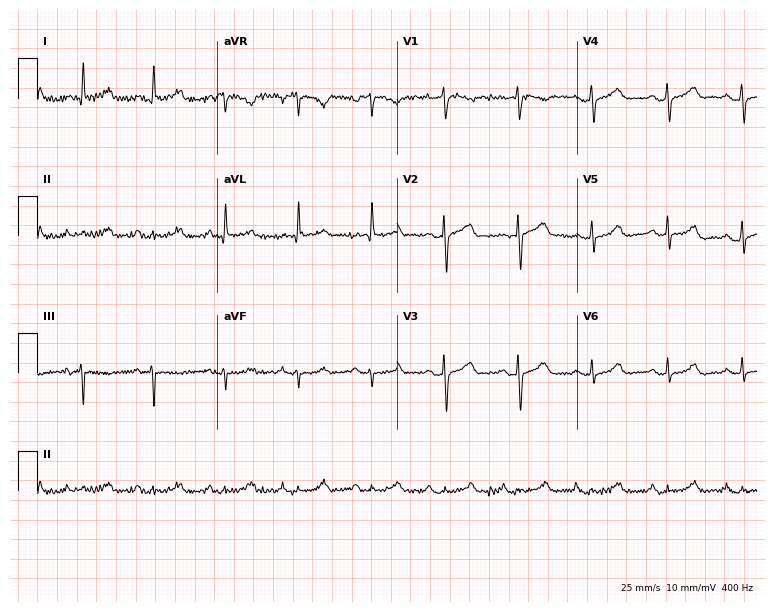
12-lead ECG (7.3-second recording at 400 Hz) from a woman, 77 years old. Labelled as a normal ECG.